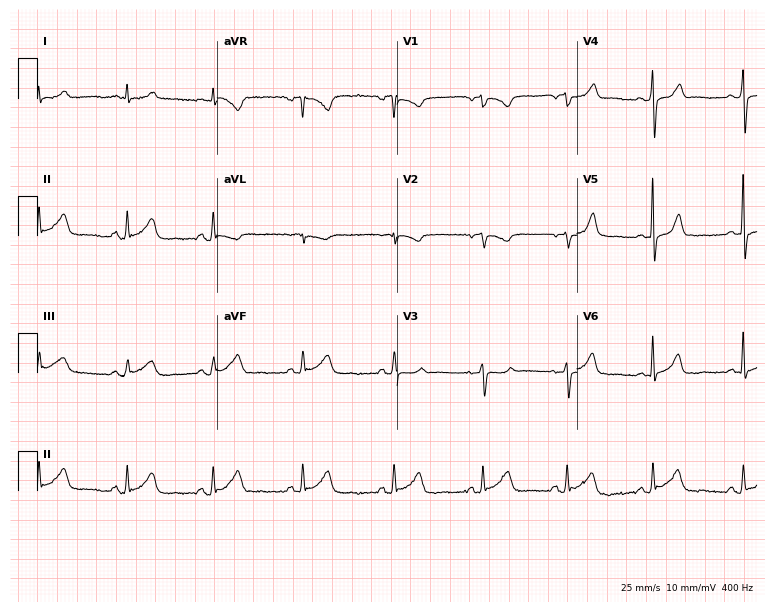
12-lead ECG from a 60-year-old male patient. Recorded interpretation: within normal limits.